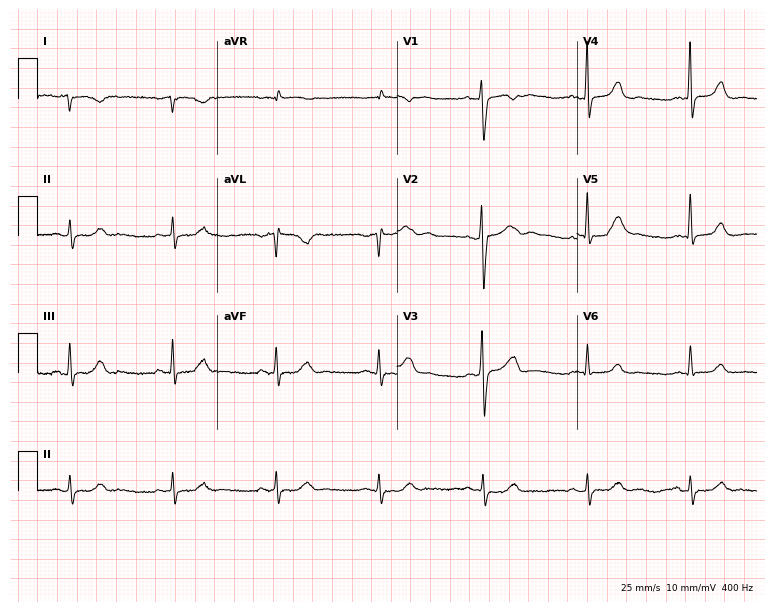
ECG — a man, 56 years old. Screened for six findings — first-degree AV block, right bundle branch block (RBBB), left bundle branch block (LBBB), sinus bradycardia, atrial fibrillation (AF), sinus tachycardia — none is recorded. Other findings, if any, are not listed.